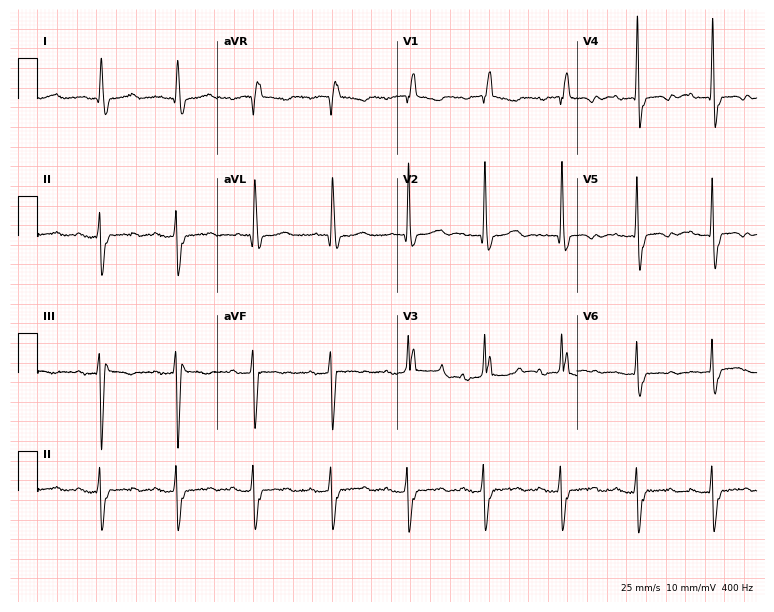
Electrocardiogram, a female patient, 84 years old. Interpretation includes right bundle branch block.